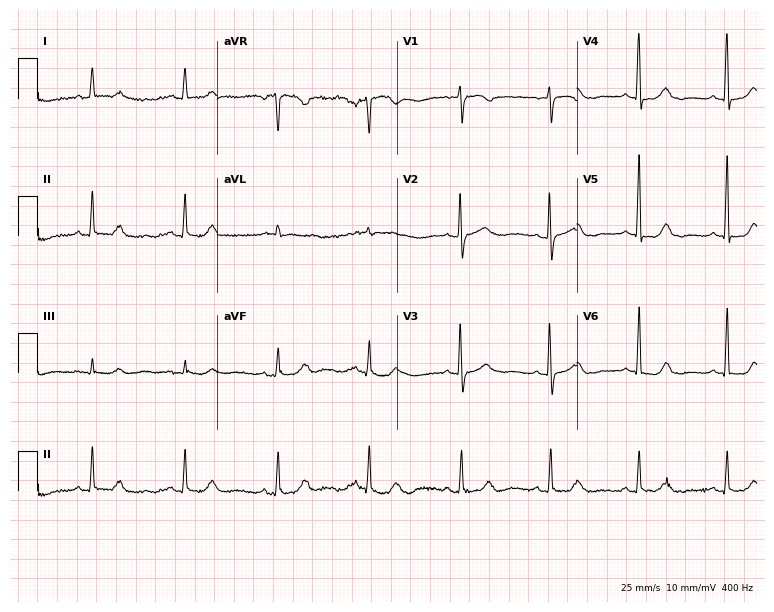
Resting 12-lead electrocardiogram. Patient: a 71-year-old woman. Read as a normal ECG.